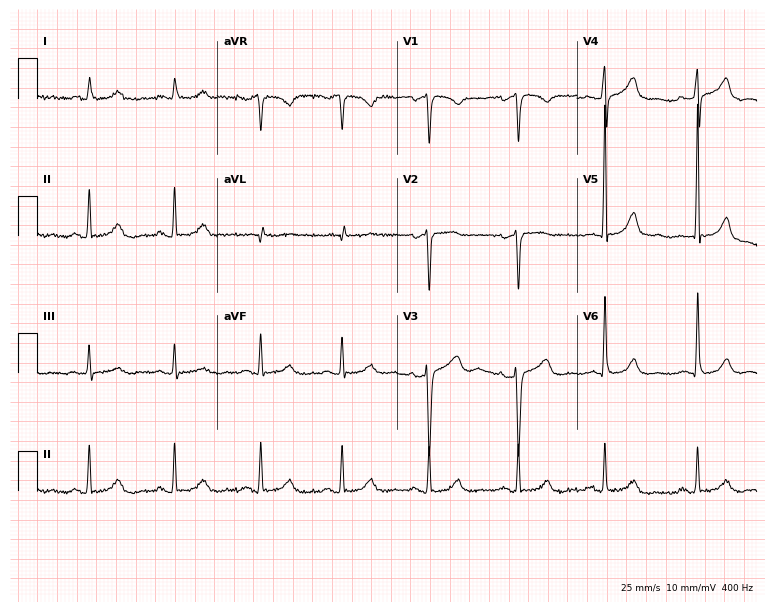
Electrocardiogram (7.3-second recording at 400 Hz), a 70-year-old female patient. Overall reading on record: normal ECG.